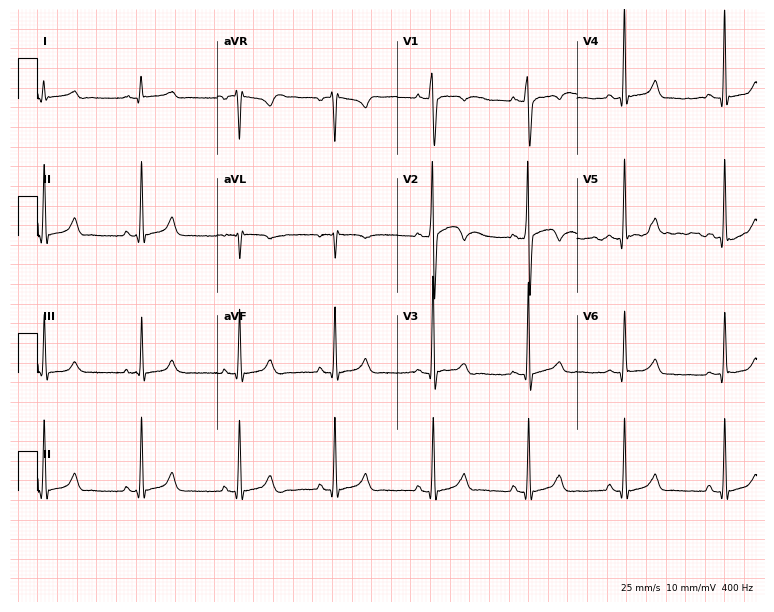
12-lead ECG (7.3-second recording at 400 Hz) from a 33-year-old male. Labelled as a normal ECG.